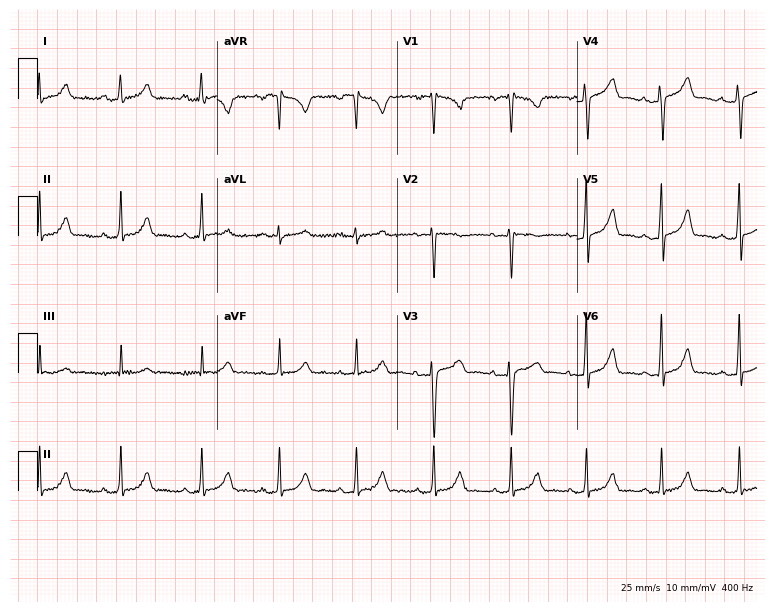
ECG (7.3-second recording at 400 Hz) — a female patient, 37 years old. Screened for six findings — first-degree AV block, right bundle branch block (RBBB), left bundle branch block (LBBB), sinus bradycardia, atrial fibrillation (AF), sinus tachycardia — none is recorded.